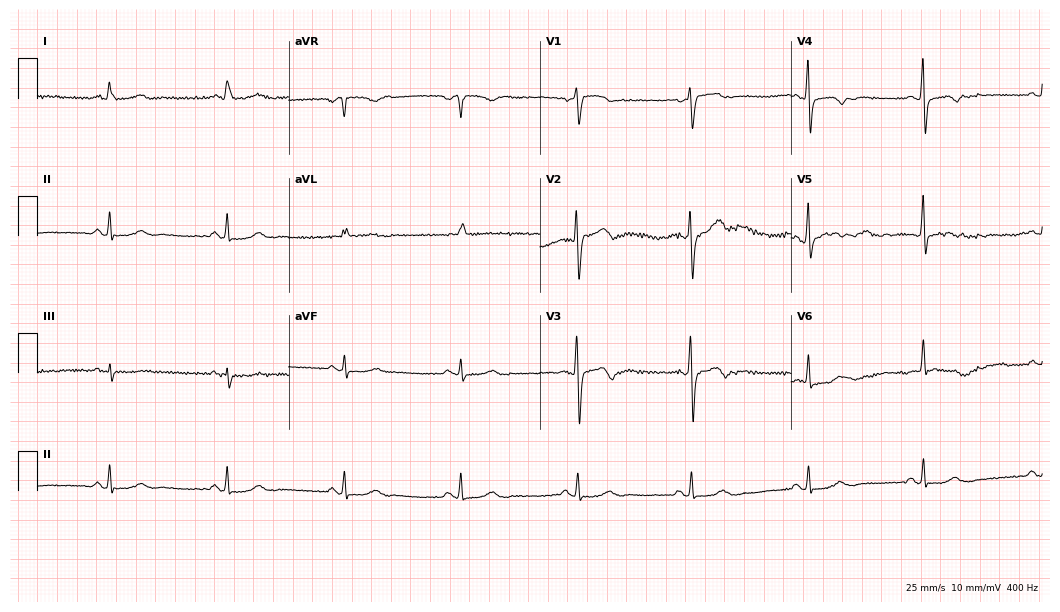
12-lead ECG (10.2-second recording at 400 Hz) from a female patient, 61 years old. Screened for six findings — first-degree AV block, right bundle branch block (RBBB), left bundle branch block (LBBB), sinus bradycardia, atrial fibrillation (AF), sinus tachycardia — none is recorded.